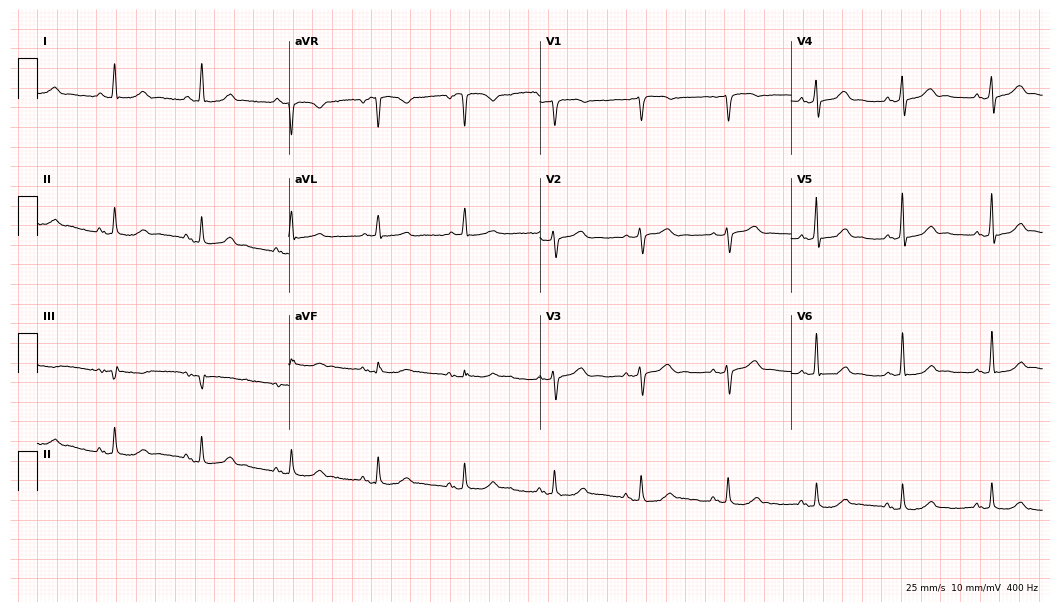
ECG — a 59-year-old female patient. Labelled as a normal ECG.